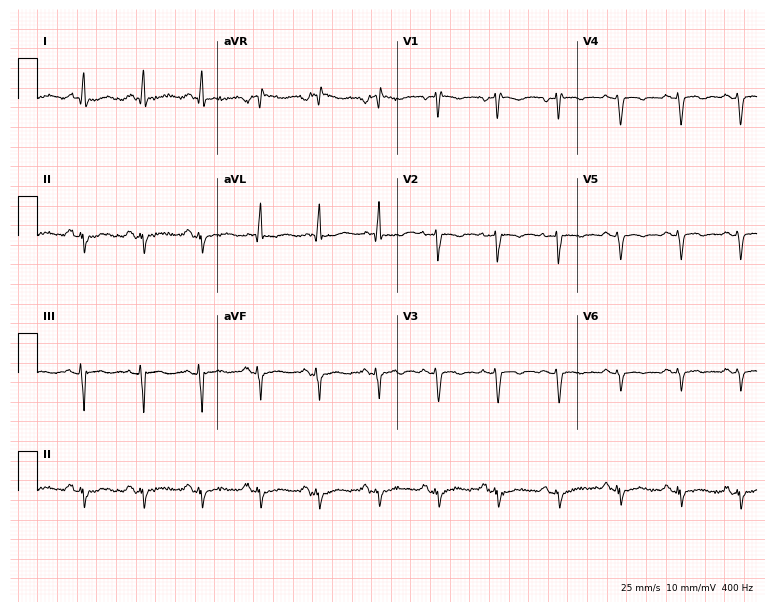
Standard 12-lead ECG recorded from a female, 39 years old (7.3-second recording at 400 Hz). None of these six findings is recorded: first-degree AV block, right bundle branch block, left bundle branch block, sinus bradycardia, atrial fibrillation, sinus tachycardia.